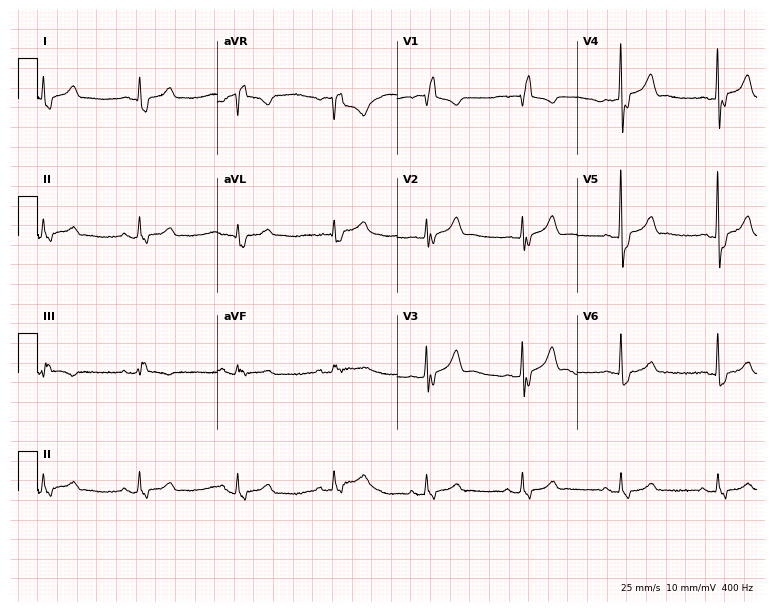
12-lead ECG from a male, 71 years old (7.3-second recording at 400 Hz). Shows right bundle branch block.